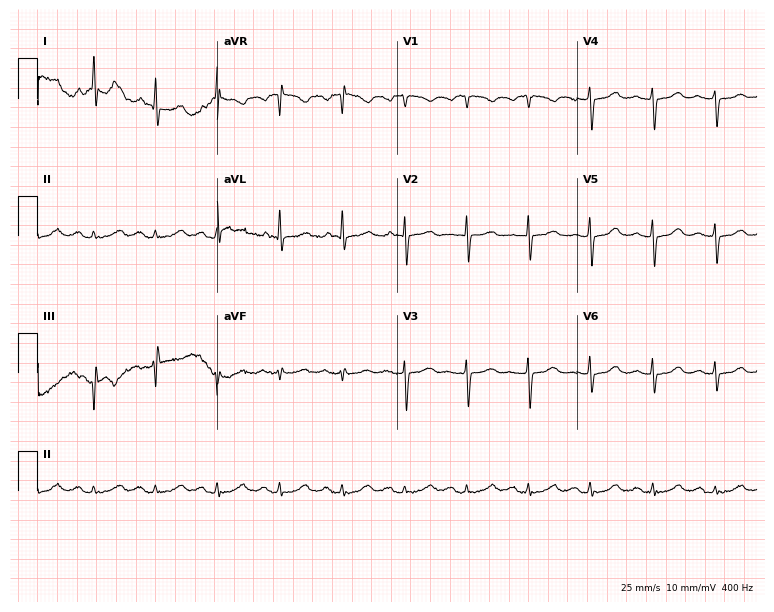
12-lead ECG (7.3-second recording at 400 Hz) from a woman, 64 years old. Screened for six findings — first-degree AV block, right bundle branch block, left bundle branch block, sinus bradycardia, atrial fibrillation, sinus tachycardia — none is recorded. Findings outside these six are not listed.